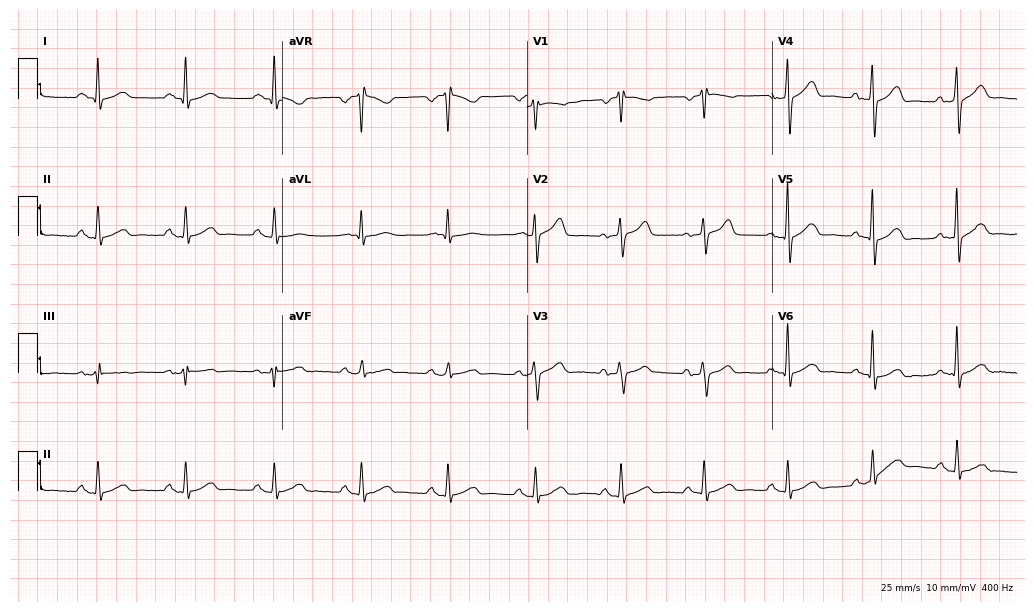
Standard 12-lead ECG recorded from a male, 65 years old. Read as a normal ECG.